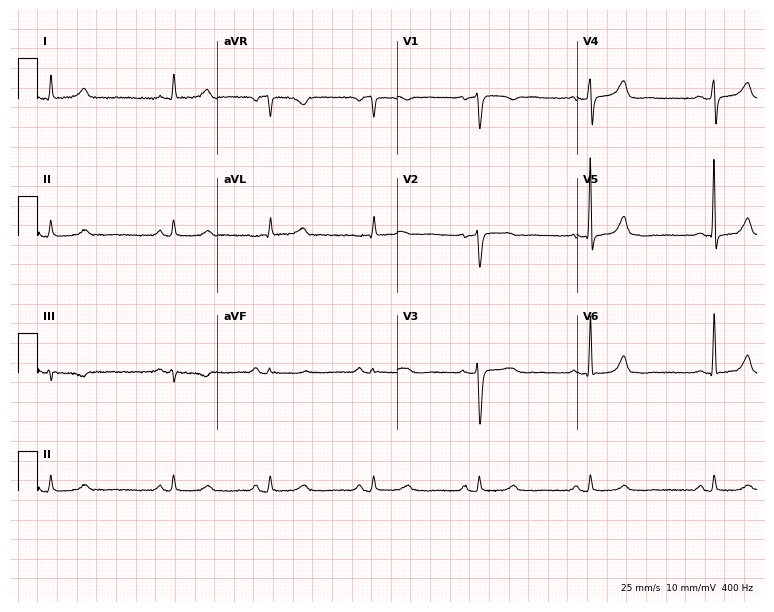
ECG (7.3-second recording at 400 Hz) — a female, 69 years old. Labelled as a normal ECG.